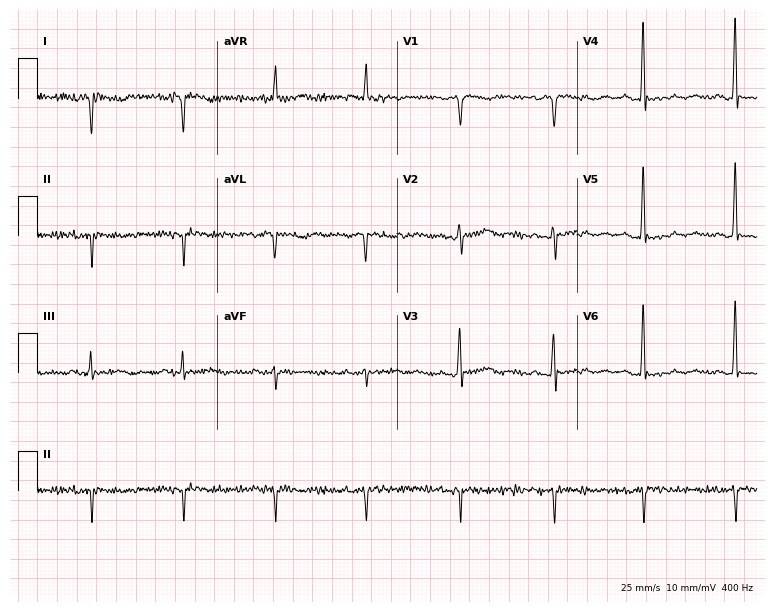
Standard 12-lead ECG recorded from a male patient, 73 years old (7.3-second recording at 400 Hz). None of these six findings is recorded: first-degree AV block, right bundle branch block (RBBB), left bundle branch block (LBBB), sinus bradycardia, atrial fibrillation (AF), sinus tachycardia.